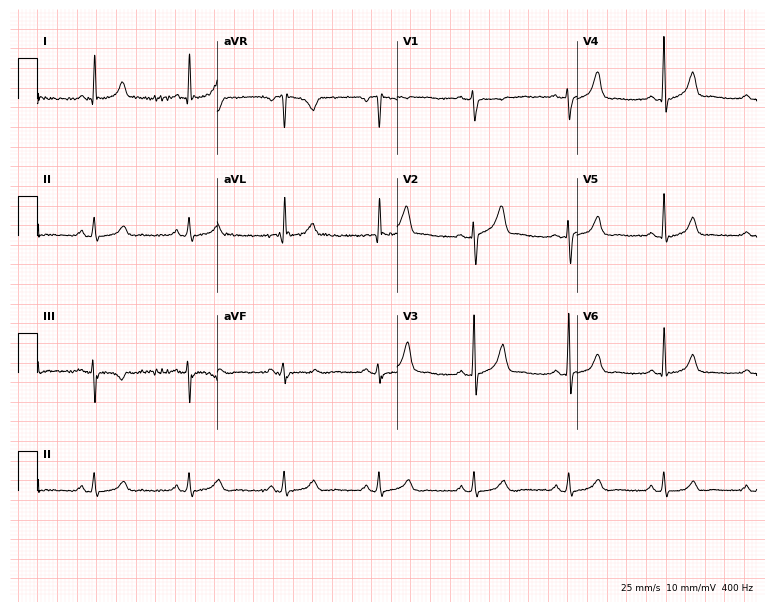
12-lead ECG from a man, 65 years old. Recorded interpretation: within normal limits.